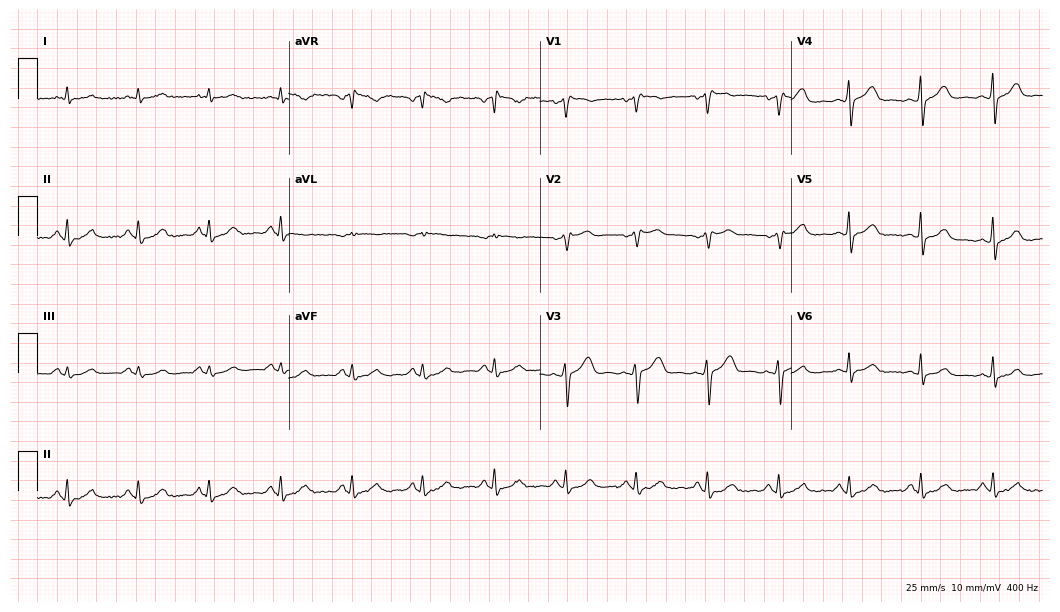
Standard 12-lead ECG recorded from a male, 57 years old (10.2-second recording at 400 Hz). Read as a normal ECG.